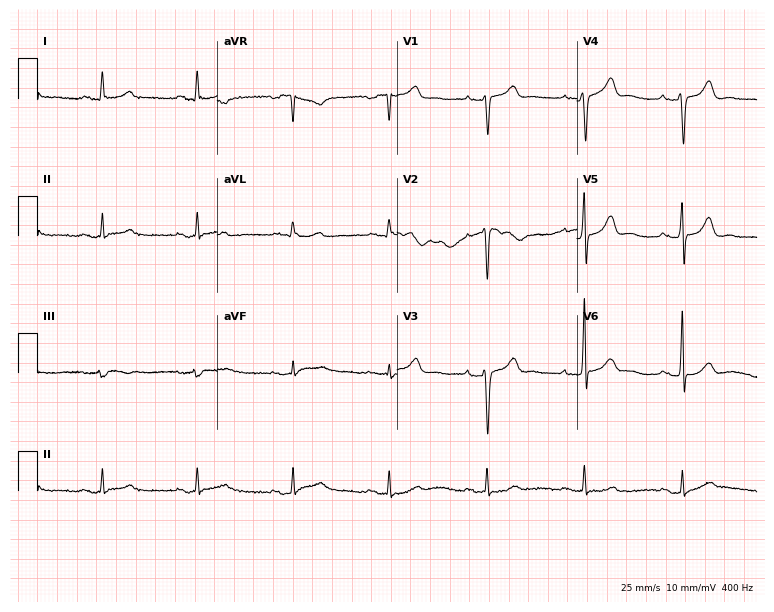
Resting 12-lead electrocardiogram. Patient: a male, 65 years old. Read as a normal ECG.